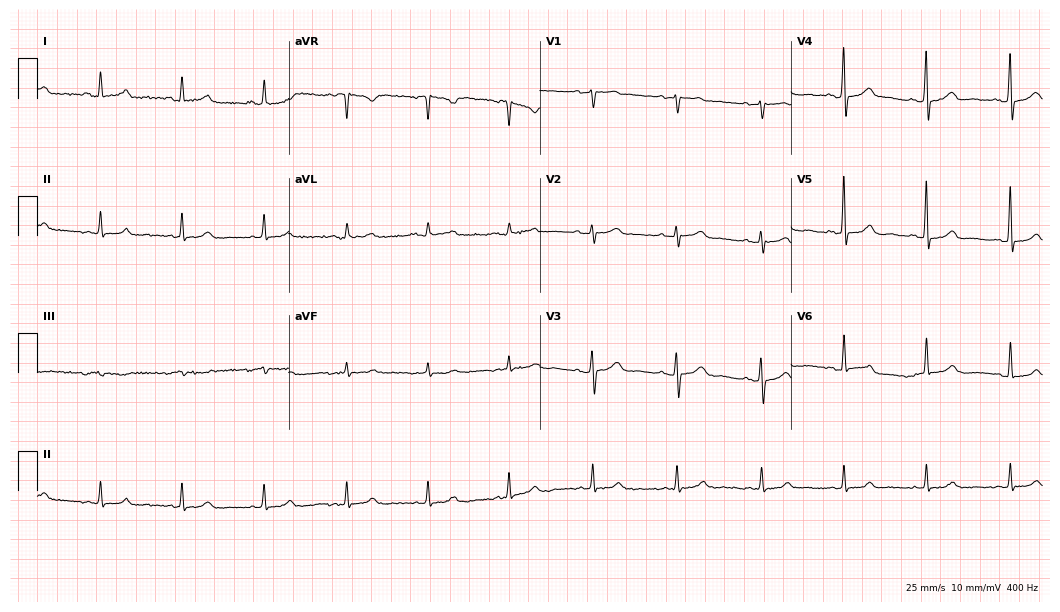
Electrocardiogram, a 59-year-old female patient. Overall reading on record: normal ECG.